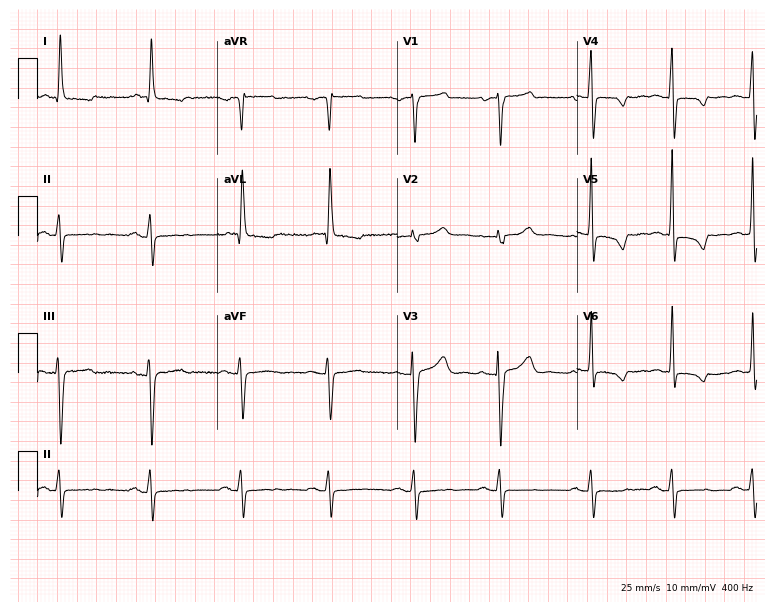
Resting 12-lead electrocardiogram (7.3-second recording at 400 Hz). Patient: a male, 82 years old. None of these six findings is recorded: first-degree AV block, right bundle branch block, left bundle branch block, sinus bradycardia, atrial fibrillation, sinus tachycardia.